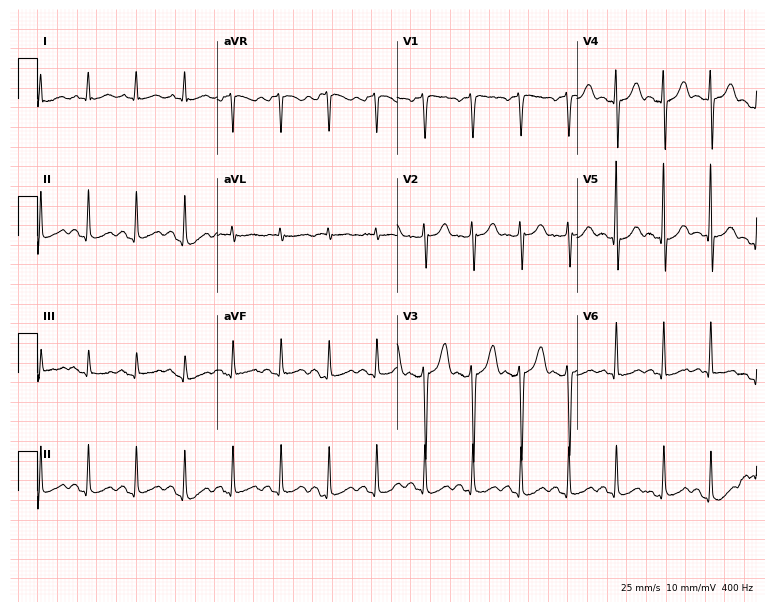
Electrocardiogram (7.3-second recording at 400 Hz), a 49-year-old man. Interpretation includes sinus tachycardia (a sinus rate of 100 beats per minute or more).